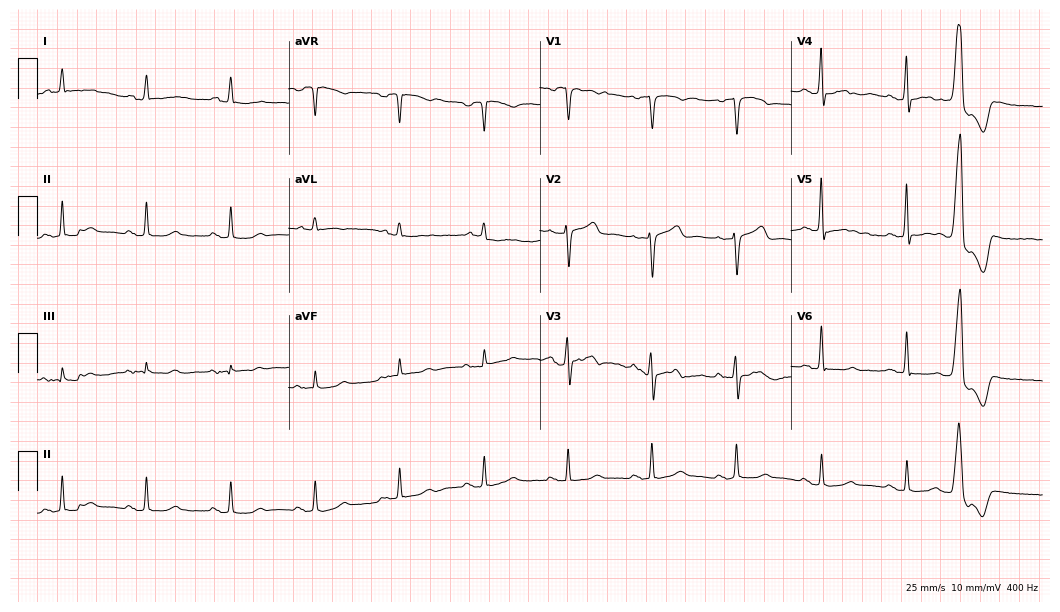
Electrocardiogram, a 74-year-old male patient. Of the six screened findings (first-degree AV block, right bundle branch block (RBBB), left bundle branch block (LBBB), sinus bradycardia, atrial fibrillation (AF), sinus tachycardia), none is recorded.